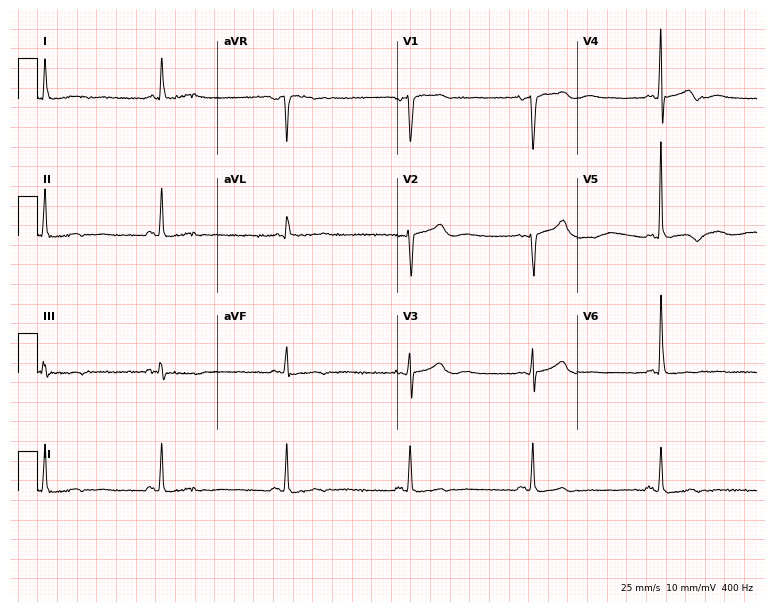
Resting 12-lead electrocardiogram. Patient: a female, 64 years old. The tracing shows sinus bradycardia (a sinus rate of 50 beats per minute or less).